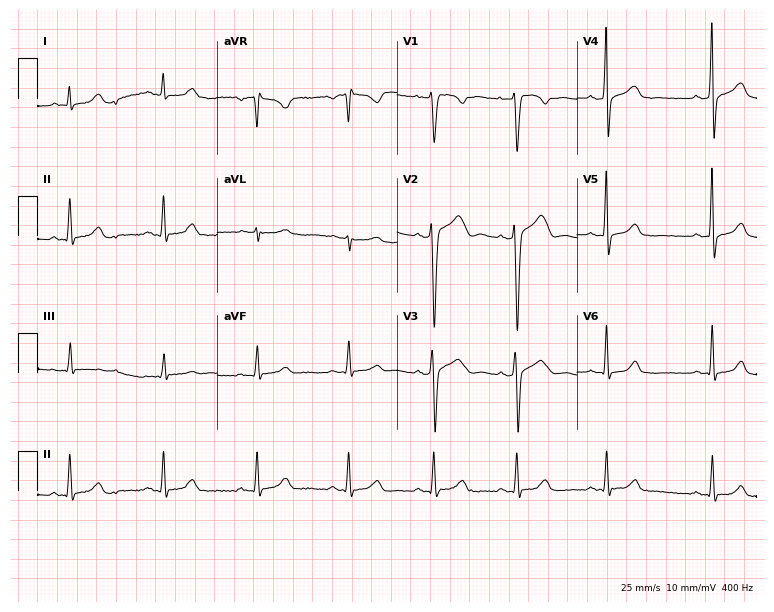
Electrocardiogram, a man, 29 years old. Of the six screened findings (first-degree AV block, right bundle branch block, left bundle branch block, sinus bradycardia, atrial fibrillation, sinus tachycardia), none is recorded.